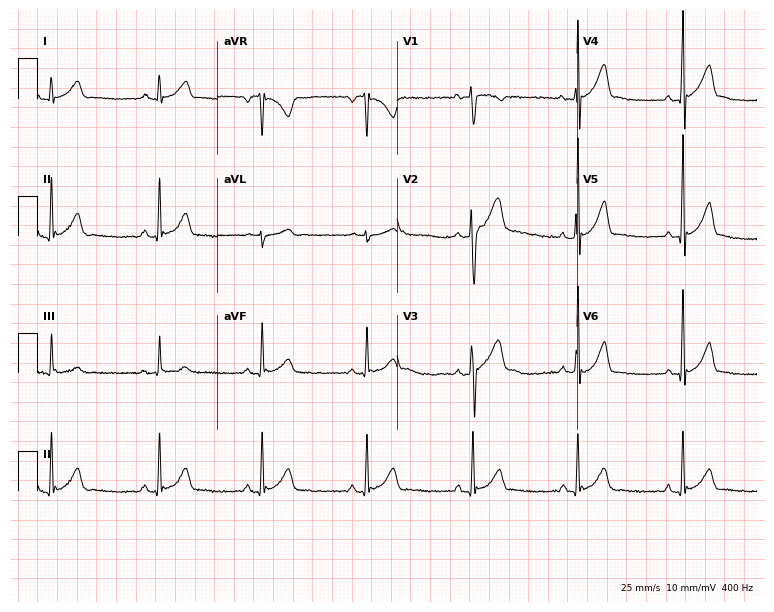
12-lead ECG (7.3-second recording at 400 Hz) from a 23-year-old male patient. Labelled as a normal ECG.